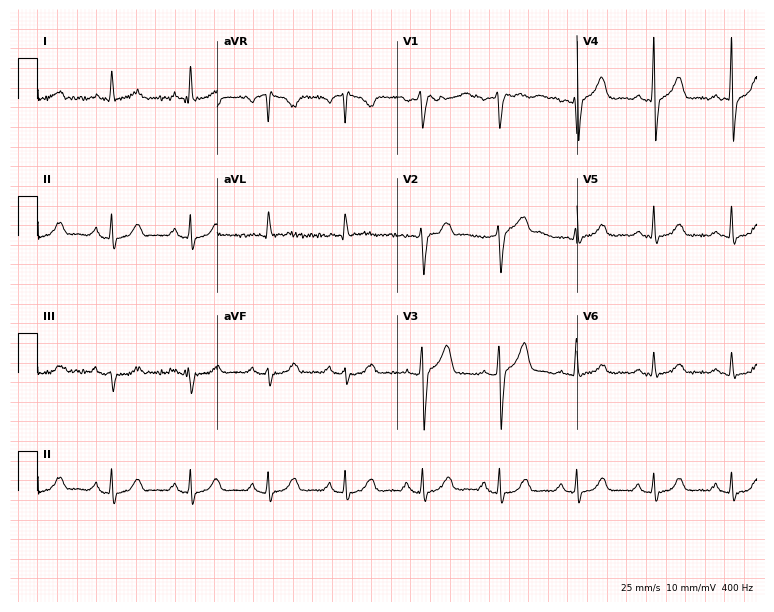
ECG (7.3-second recording at 400 Hz) — a 76-year-old male patient. Labelled as a normal ECG.